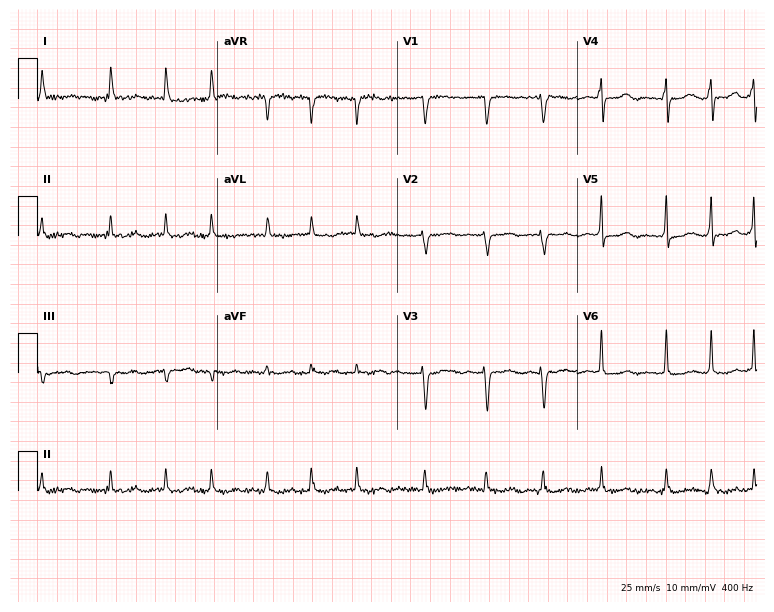
12-lead ECG from a 76-year-old female patient. Shows atrial fibrillation (AF).